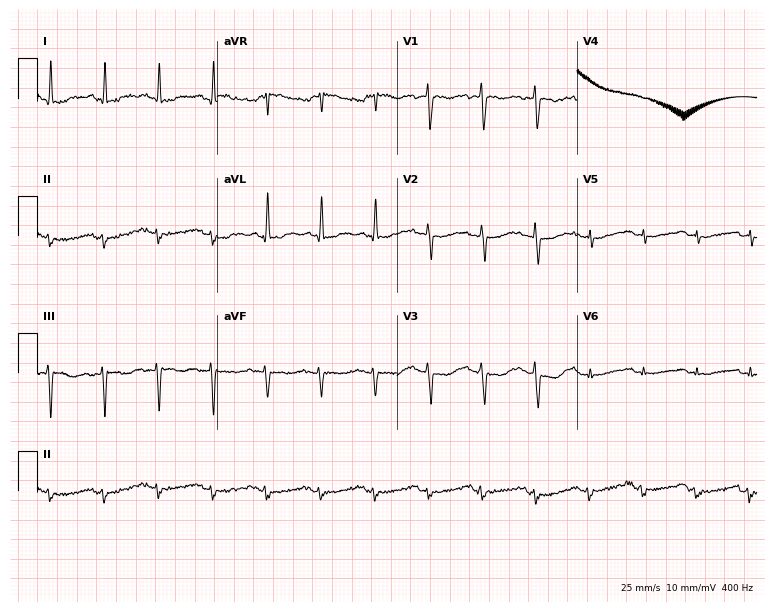
12-lead ECG from a 62-year-old female patient (7.3-second recording at 400 Hz). No first-degree AV block, right bundle branch block (RBBB), left bundle branch block (LBBB), sinus bradycardia, atrial fibrillation (AF) or sinus tachycardia recorded for this tracing. Only these six findings were labelled.